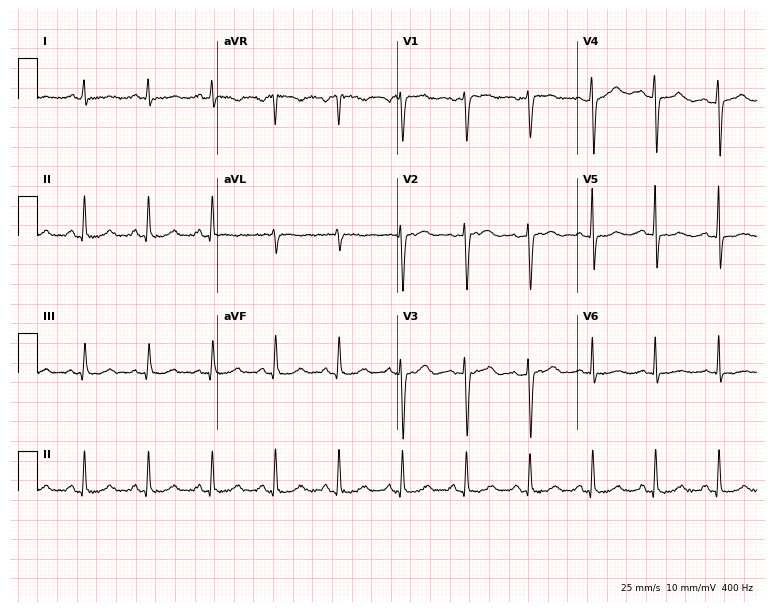
Standard 12-lead ECG recorded from a 64-year-old female patient. None of these six findings is recorded: first-degree AV block, right bundle branch block (RBBB), left bundle branch block (LBBB), sinus bradycardia, atrial fibrillation (AF), sinus tachycardia. Only these six findings were labelled.